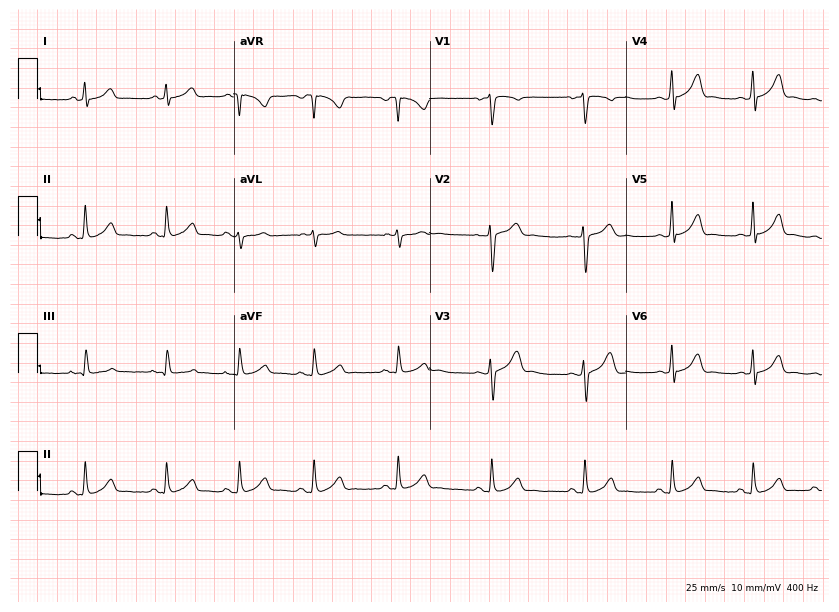
12-lead ECG from a female patient, 25 years old. Recorded interpretation: within normal limits.